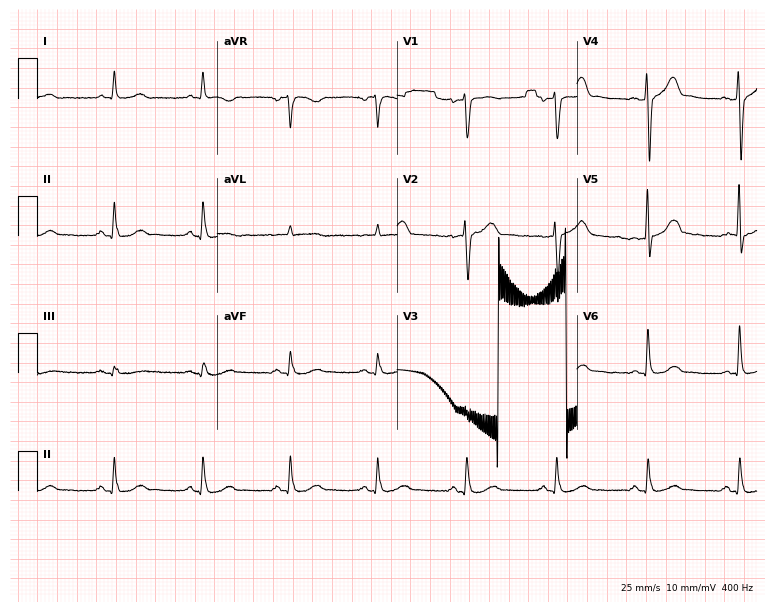
Electrocardiogram, a 63-year-old man. Overall reading on record: normal ECG.